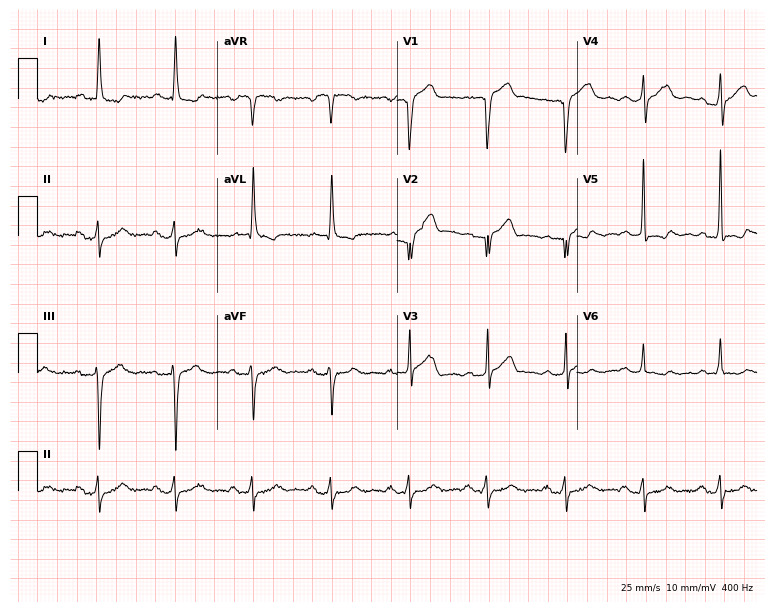
Resting 12-lead electrocardiogram. Patient: a 72-year-old male. None of these six findings is recorded: first-degree AV block, right bundle branch block, left bundle branch block, sinus bradycardia, atrial fibrillation, sinus tachycardia.